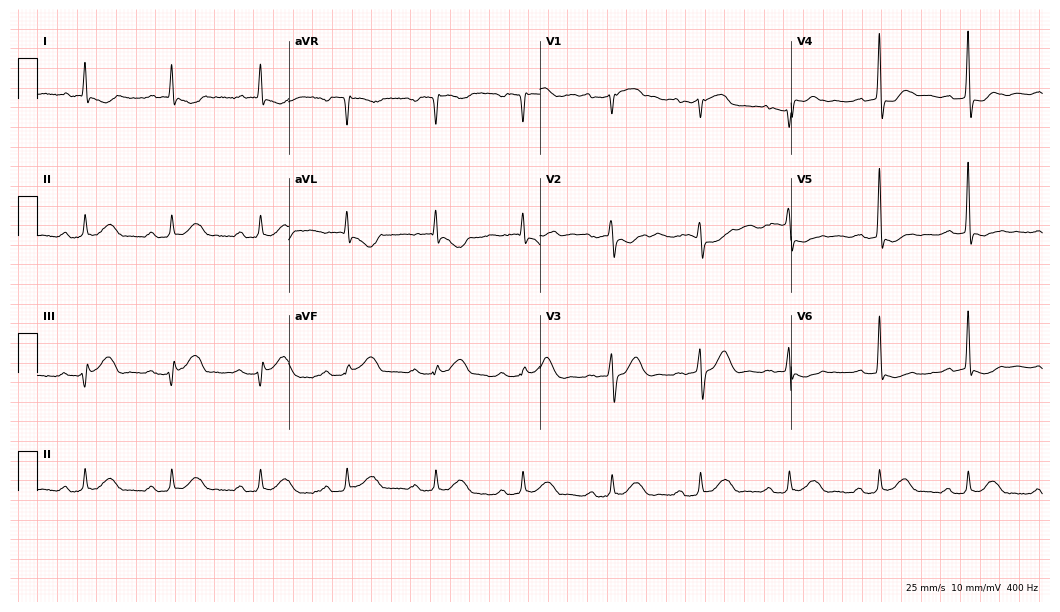
Electrocardiogram (10.2-second recording at 400 Hz), a female patient, 64 years old. Of the six screened findings (first-degree AV block, right bundle branch block (RBBB), left bundle branch block (LBBB), sinus bradycardia, atrial fibrillation (AF), sinus tachycardia), none is recorded.